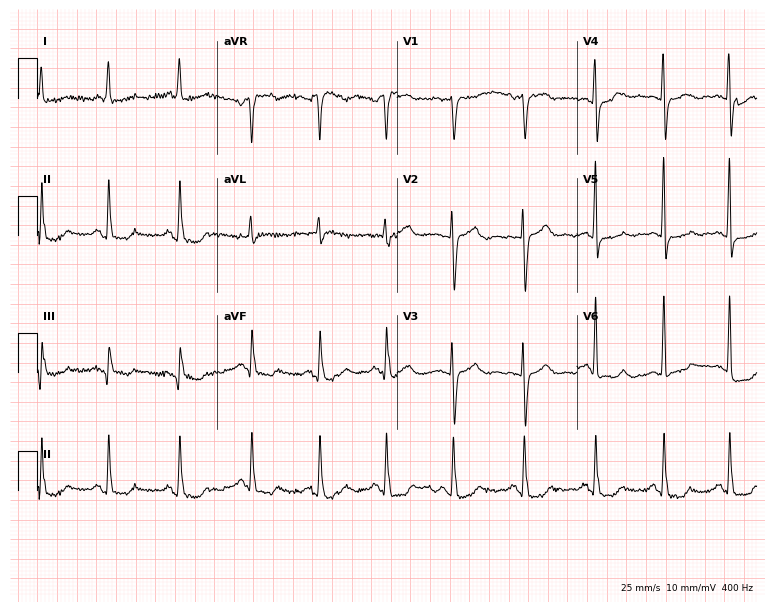
12-lead ECG from a 51-year-old female patient. No first-degree AV block, right bundle branch block, left bundle branch block, sinus bradycardia, atrial fibrillation or sinus tachycardia recorded for this tracing.